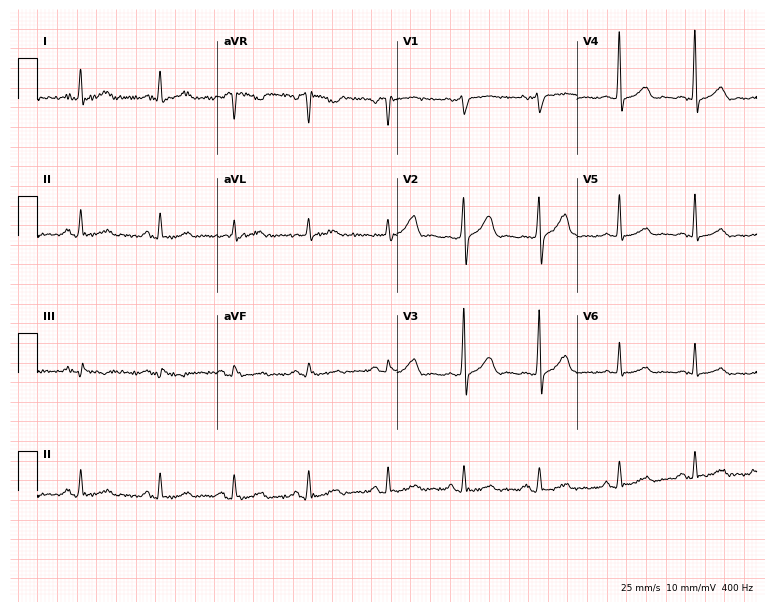
12-lead ECG from a man, 60 years old. Screened for six findings — first-degree AV block, right bundle branch block, left bundle branch block, sinus bradycardia, atrial fibrillation, sinus tachycardia — none is recorded. Other findings, if any, are not listed.